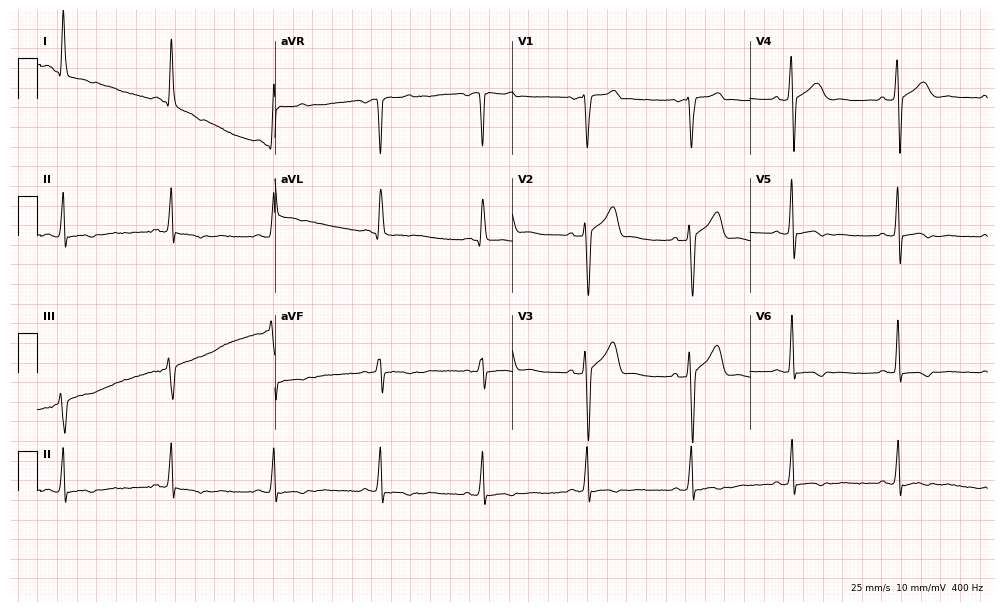
12-lead ECG from a 47-year-old male. No first-degree AV block, right bundle branch block, left bundle branch block, sinus bradycardia, atrial fibrillation or sinus tachycardia recorded for this tracing. Only these six findings were labelled.